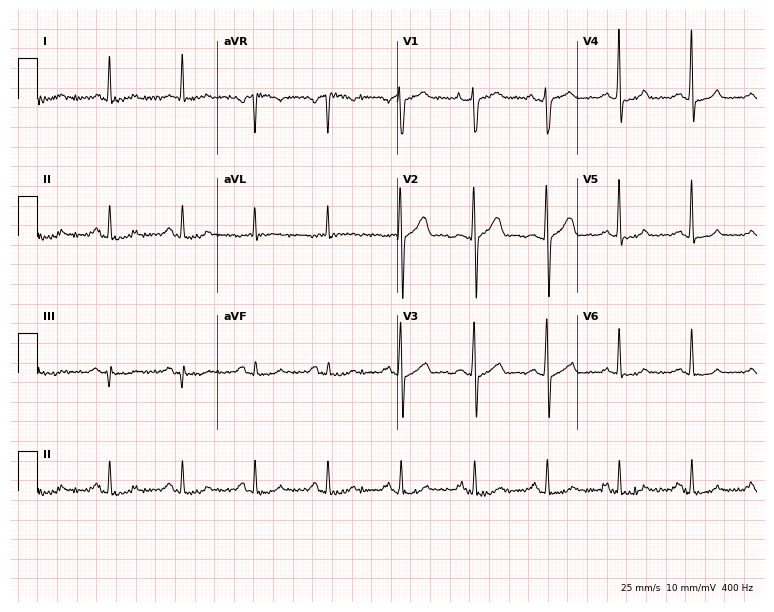
Standard 12-lead ECG recorded from a 62-year-old man. Read as a normal ECG.